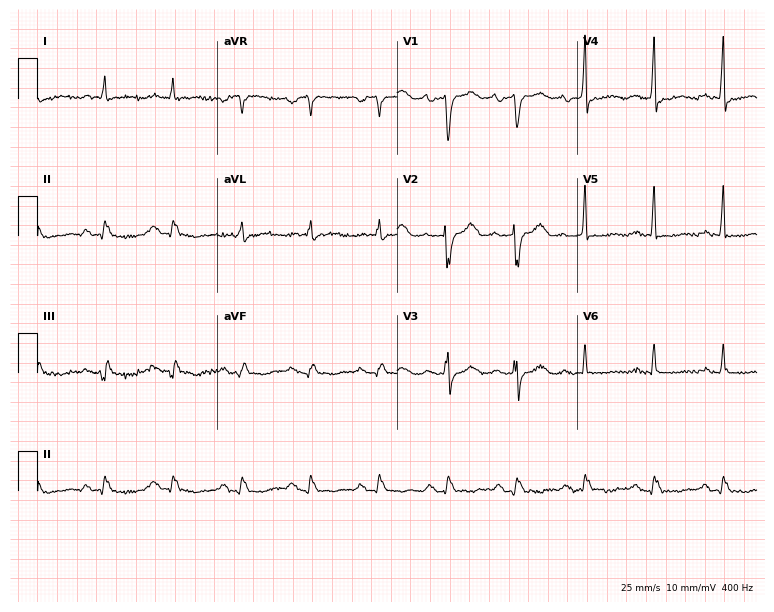
12-lead ECG from a 71-year-old male patient (7.3-second recording at 400 Hz). No first-degree AV block, right bundle branch block, left bundle branch block, sinus bradycardia, atrial fibrillation or sinus tachycardia recorded for this tracing.